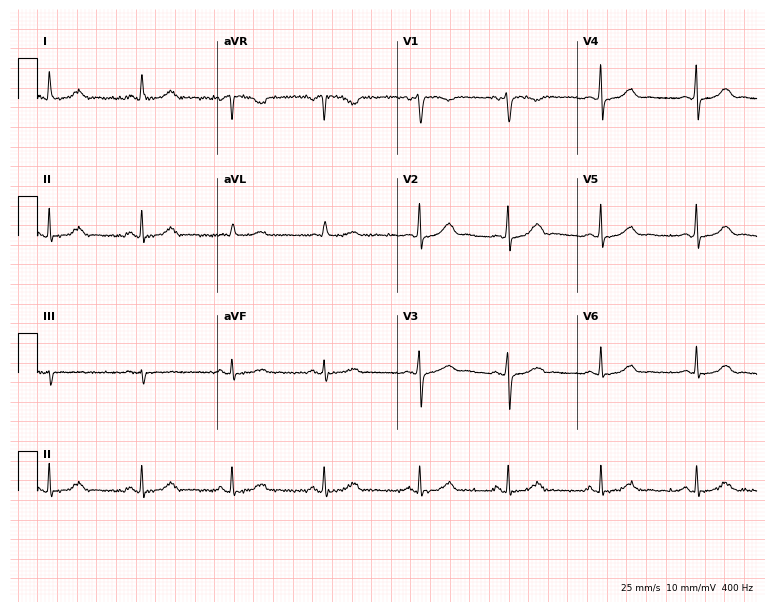
12-lead ECG from a 57-year-old female patient. No first-degree AV block, right bundle branch block (RBBB), left bundle branch block (LBBB), sinus bradycardia, atrial fibrillation (AF) or sinus tachycardia recorded for this tracing. Other findings, if any, are not listed.